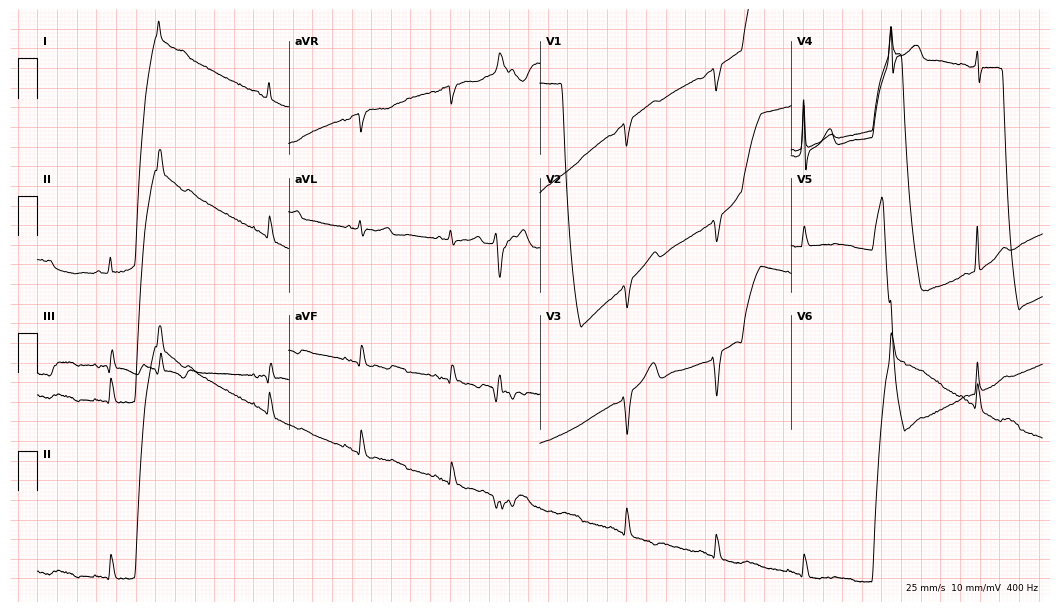
12-lead ECG from a female patient, 76 years old. No first-degree AV block, right bundle branch block (RBBB), left bundle branch block (LBBB), sinus bradycardia, atrial fibrillation (AF) or sinus tachycardia recorded for this tracing. Findings outside these six are not listed.